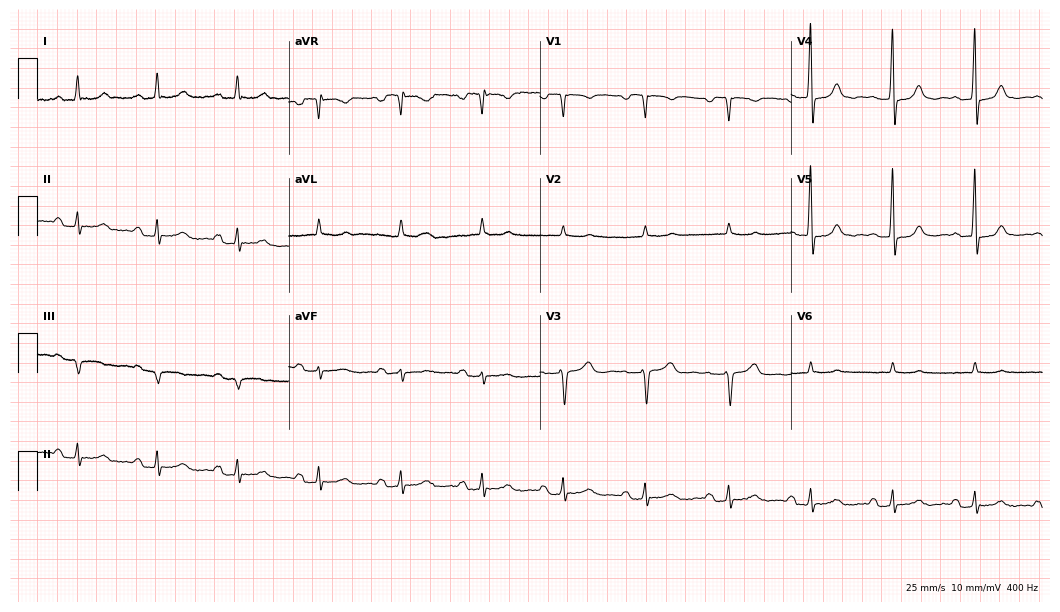
Standard 12-lead ECG recorded from a 68-year-old man (10.2-second recording at 400 Hz). None of these six findings is recorded: first-degree AV block, right bundle branch block (RBBB), left bundle branch block (LBBB), sinus bradycardia, atrial fibrillation (AF), sinus tachycardia.